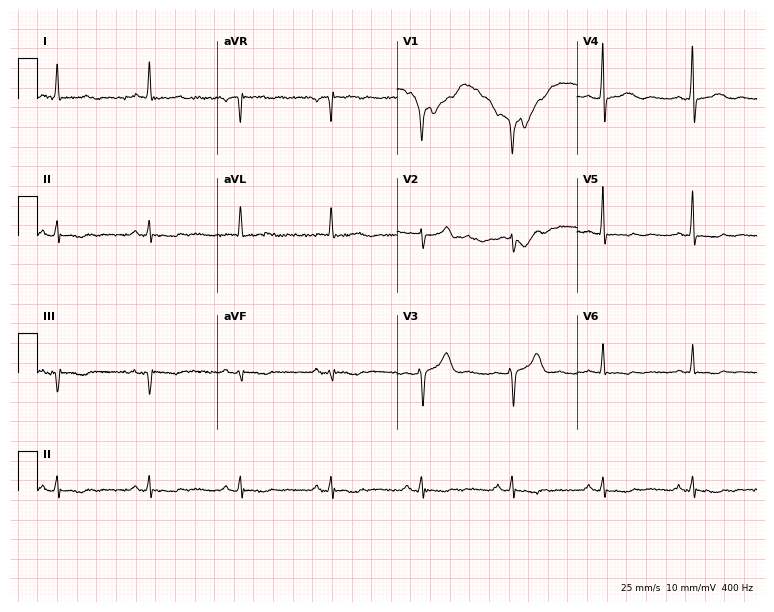
Electrocardiogram (7.3-second recording at 400 Hz), a 66-year-old male. Of the six screened findings (first-degree AV block, right bundle branch block, left bundle branch block, sinus bradycardia, atrial fibrillation, sinus tachycardia), none is recorded. Only these six findings were labelled.